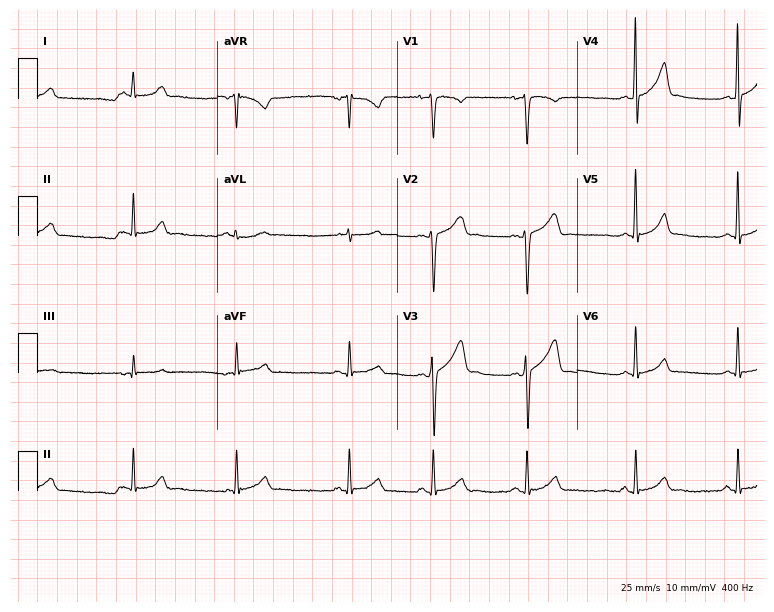
12-lead ECG from a man, 18 years old. Labelled as a normal ECG.